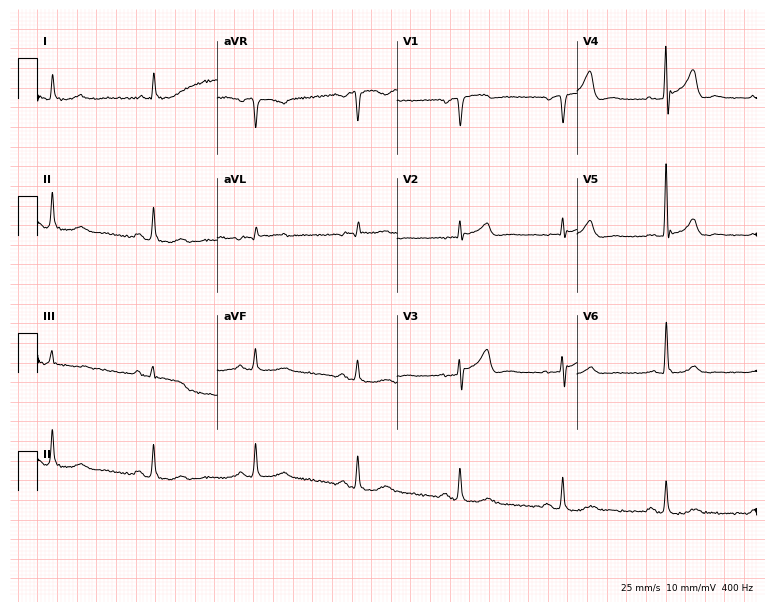
12-lead ECG (7.3-second recording at 400 Hz) from a 77-year-old male patient. Screened for six findings — first-degree AV block, right bundle branch block, left bundle branch block, sinus bradycardia, atrial fibrillation, sinus tachycardia — none is recorded.